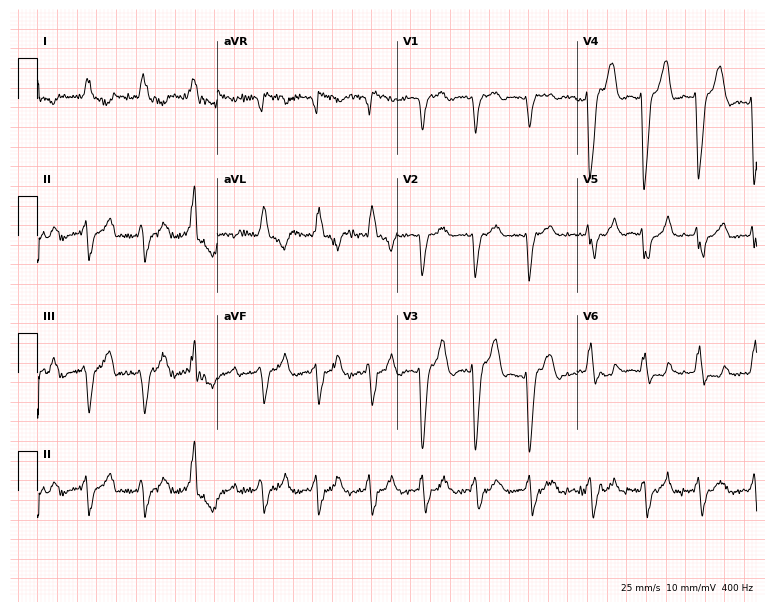
12-lead ECG from a 79-year-old woman (7.3-second recording at 400 Hz). No first-degree AV block, right bundle branch block (RBBB), left bundle branch block (LBBB), sinus bradycardia, atrial fibrillation (AF) or sinus tachycardia recorded for this tracing.